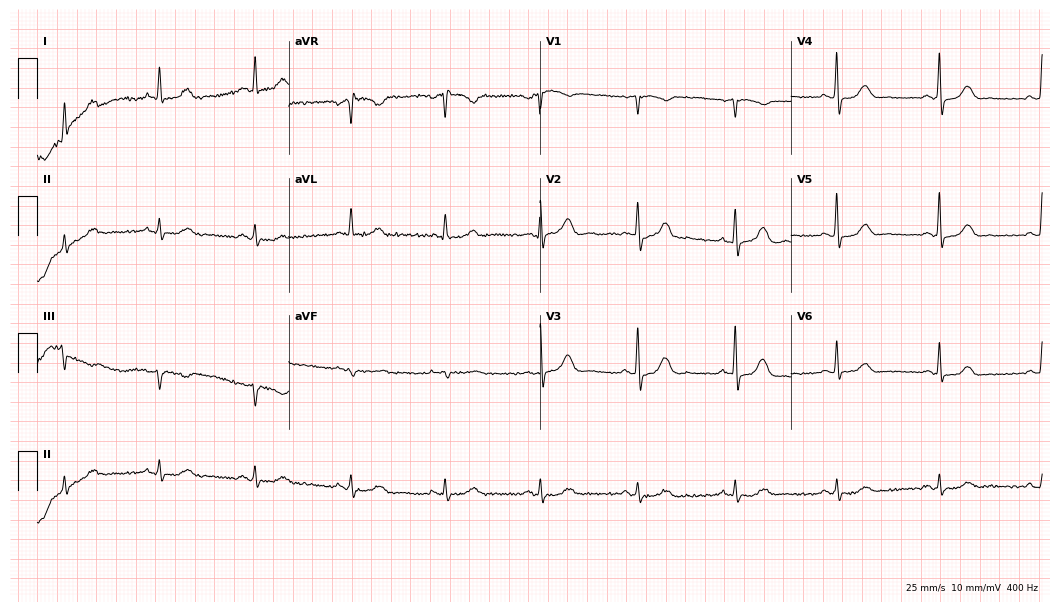
12-lead ECG (10.2-second recording at 400 Hz) from a woman, 79 years old. Labelled as a normal ECG.